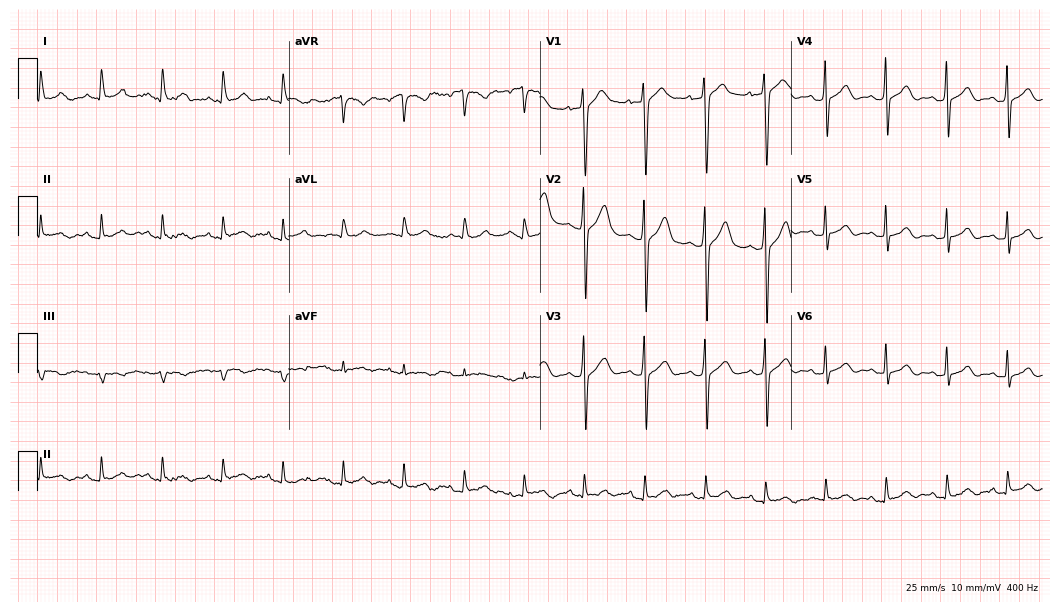
Standard 12-lead ECG recorded from a man, 27 years old. None of these six findings is recorded: first-degree AV block, right bundle branch block, left bundle branch block, sinus bradycardia, atrial fibrillation, sinus tachycardia.